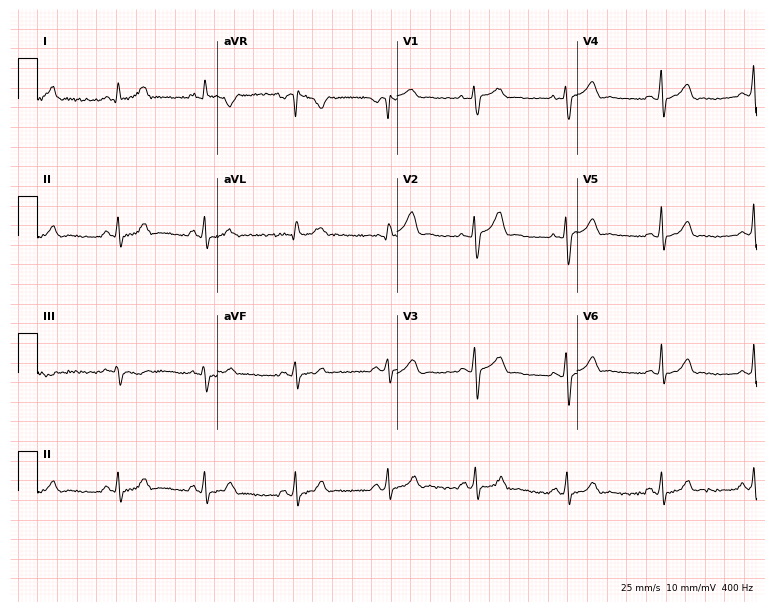
Electrocardiogram, a female, 27 years old. Of the six screened findings (first-degree AV block, right bundle branch block (RBBB), left bundle branch block (LBBB), sinus bradycardia, atrial fibrillation (AF), sinus tachycardia), none is recorded. Only these six findings were labelled.